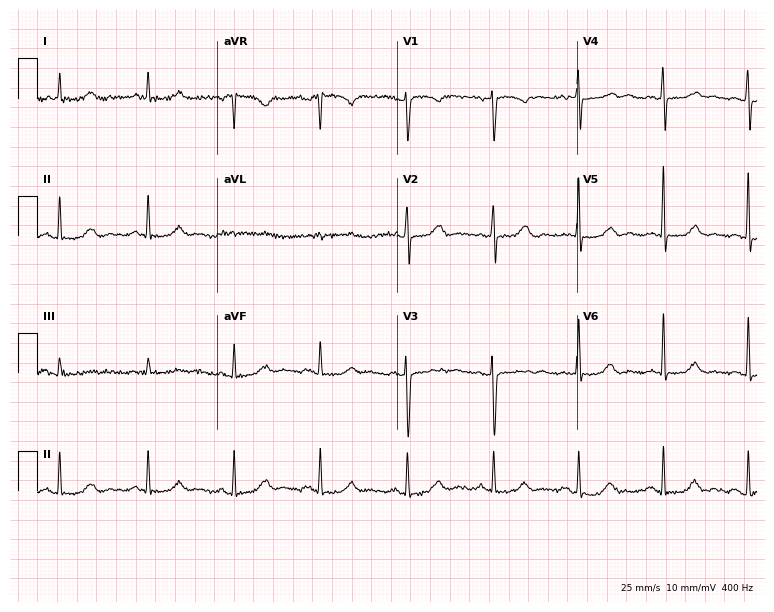
12-lead ECG from a woman, 65 years old. Labelled as a normal ECG.